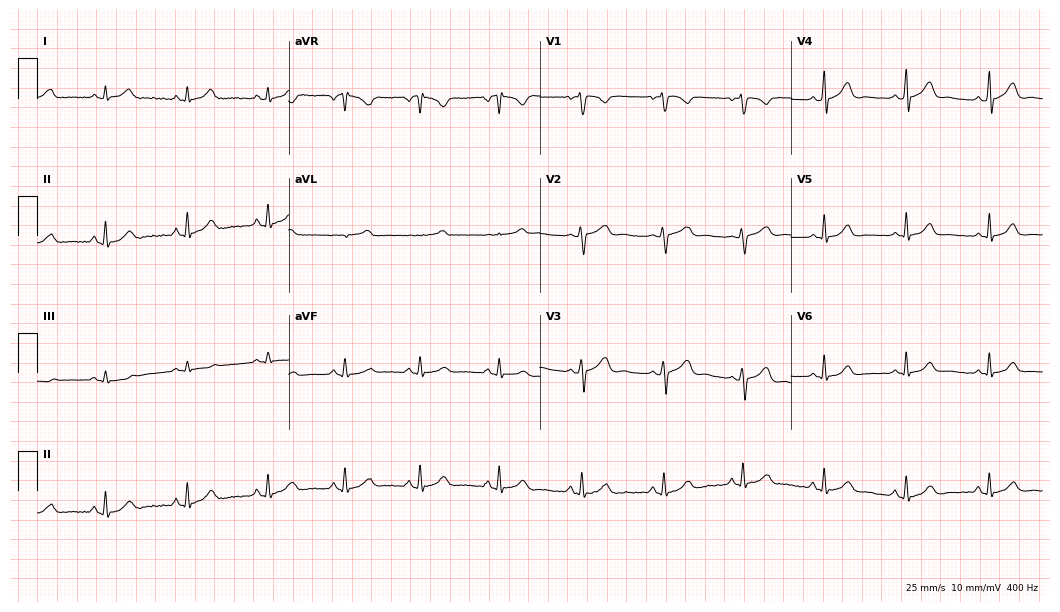
12-lead ECG (10.2-second recording at 400 Hz) from a female patient, 24 years old. Screened for six findings — first-degree AV block, right bundle branch block, left bundle branch block, sinus bradycardia, atrial fibrillation, sinus tachycardia — none is recorded. Only these six findings were labelled.